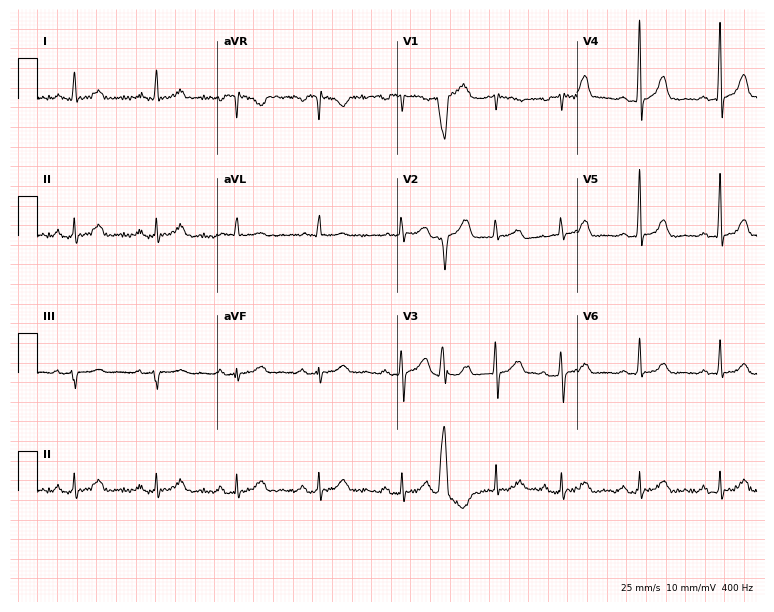
ECG (7.3-second recording at 400 Hz) — a 64-year-old female patient. Screened for six findings — first-degree AV block, right bundle branch block, left bundle branch block, sinus bradycardia, atrial fibrillation, sinus tachycardia — none is recorded. Only these six findings were labelled.